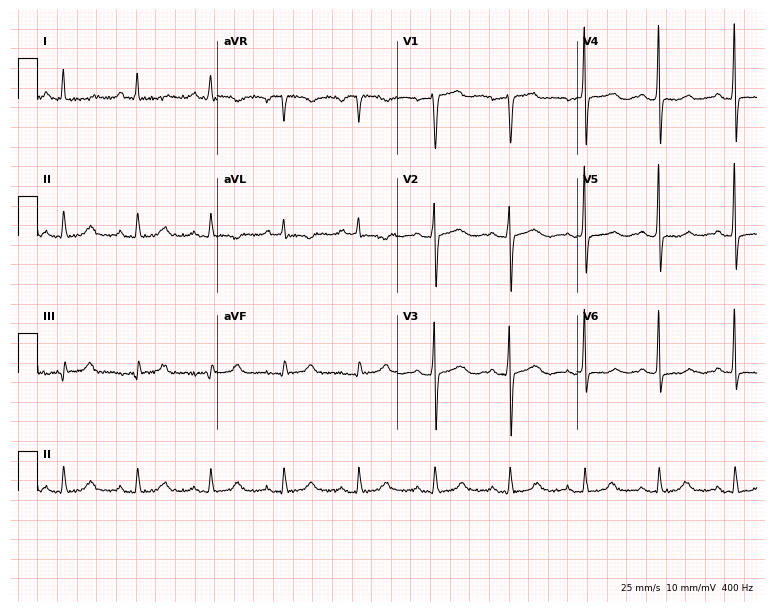
ECG (7.3-second recording at 400 Hz) — a 63-year-old woman. Screened for six findings — first-degree AV block, right bundle branch block, left bundle branch block, sinus bradycardia, atrial fibrillation, sinus tachycardia — none is recorded. Only these six findings were labelled.